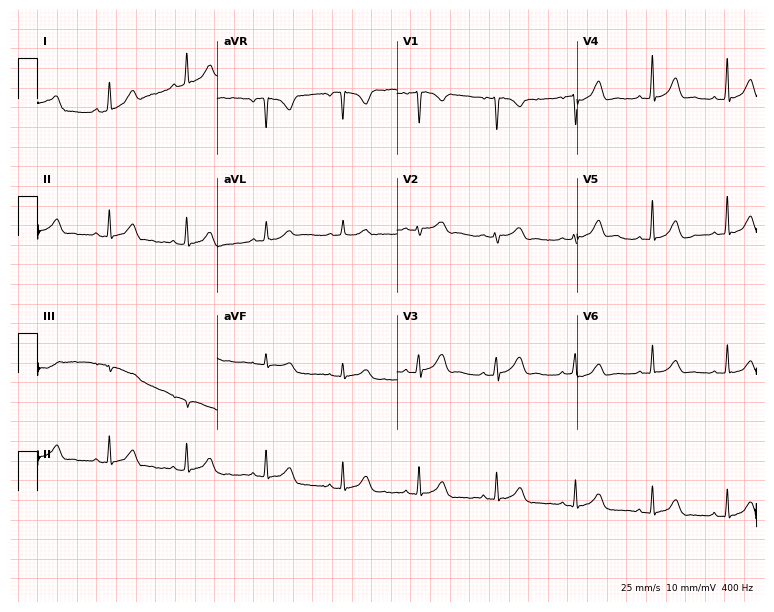
12-lead ECG (7.3-second recording at 400 Hz) from a 45-year-old female patient. Screened for six findings — first-degree AV block, right bundle branch block, left bundle branch block, sinus bradycardia, atrial fibrillation, sinus tachycardia — none is recorded. Other findings, if any, are not listed.